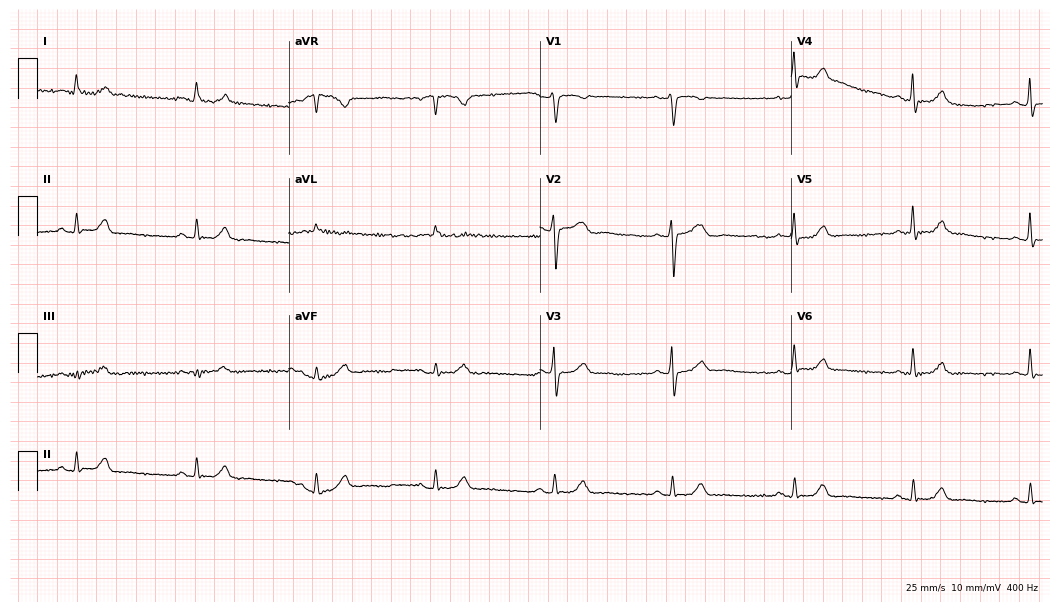
Resting 12-lead electrocardiogram. Patient: a 57-year-old female. The tracing shows sinus bradycardia (a sinus rate of 50 beats per minute or less).